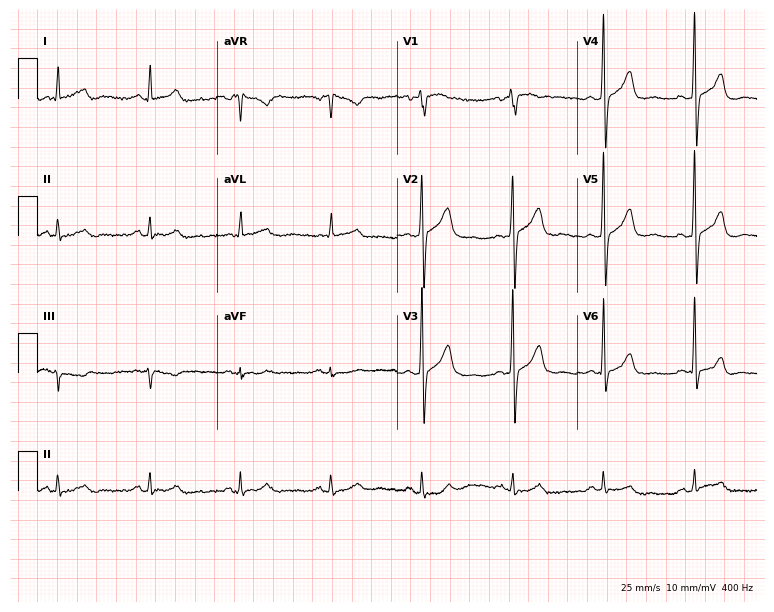
12-lead ECG (7.3-second recording at 400 Hz) from a 74-year-old male patient. Labelled as a normal ECG.